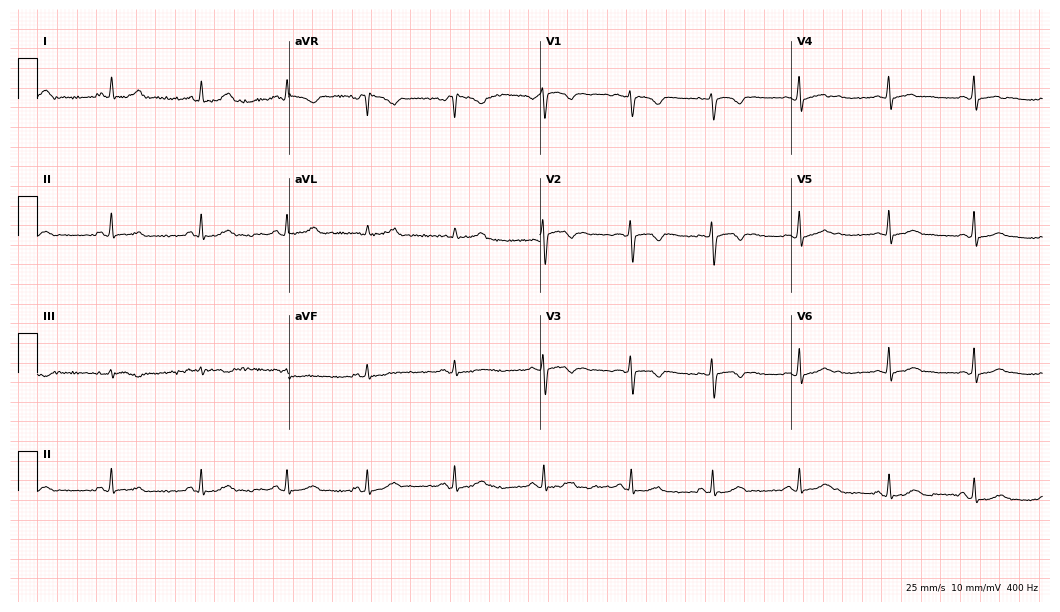
ECG (10.2-second recording at 400 Hz) — a 20-year-old female. Labelled as a normal ECG.